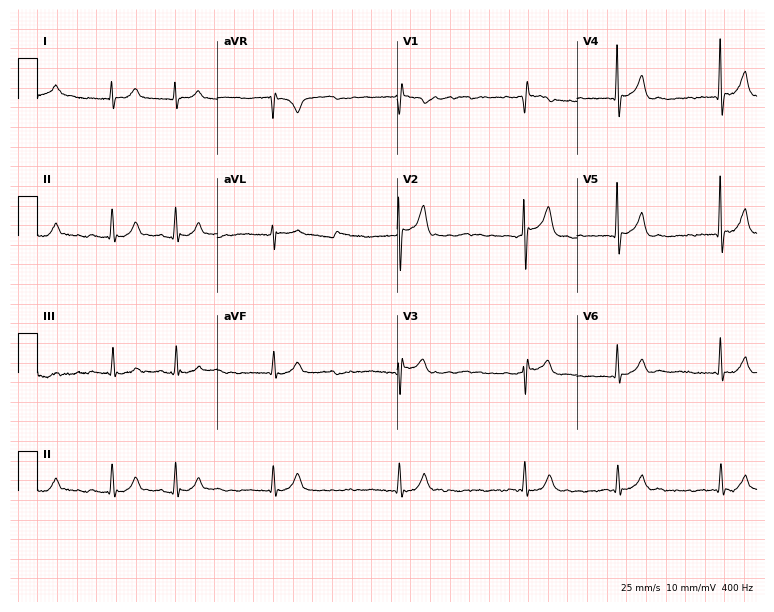
ECG (7.3-second recording at 400 Hz) — an 85-year-old male patient. Findings include atrial fibrillation.